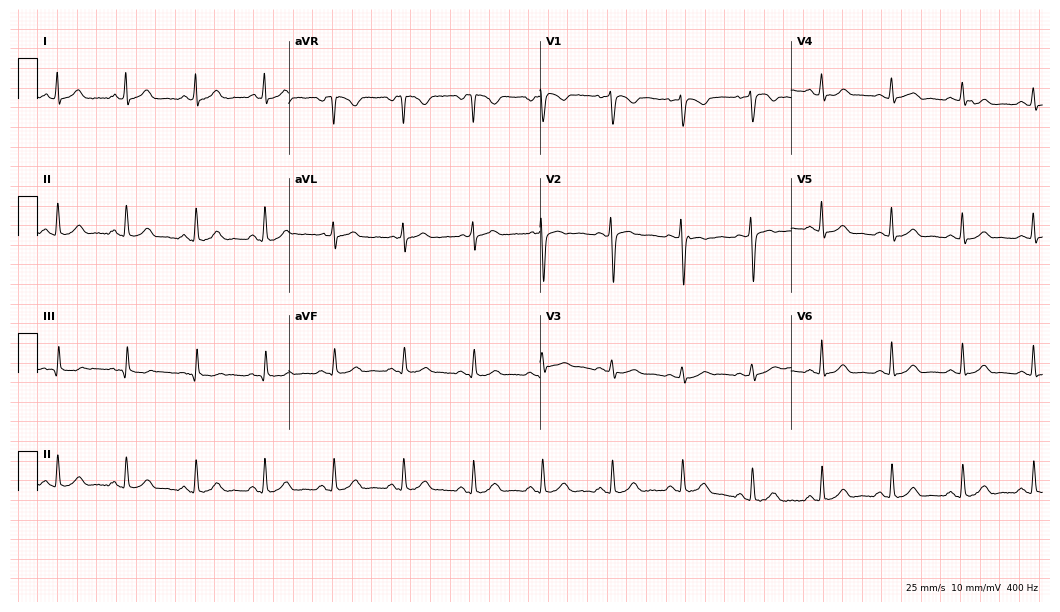
12-lead ECG (10.2-second recording at 400 Hz) from a woman, 38 years old. Labelled as a normal ECG.